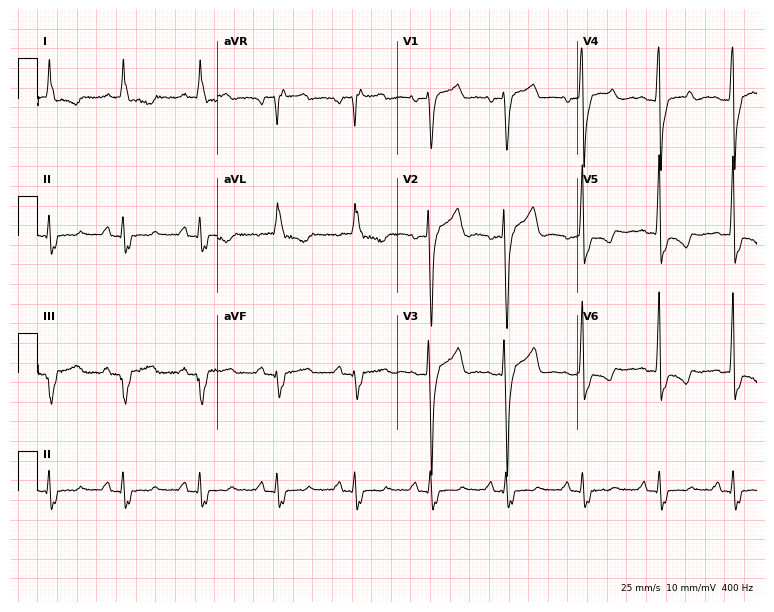
ECG (7.3-second recording at 400 Hz) — a 57-year-old male. Screened for six findings — first-degree AV block, right bundle branch block (RBBB), left bundle branch block (LBBB), sinus bradycardia, atrial fibrillation (AF), sinus tachycardia — none is recorded.